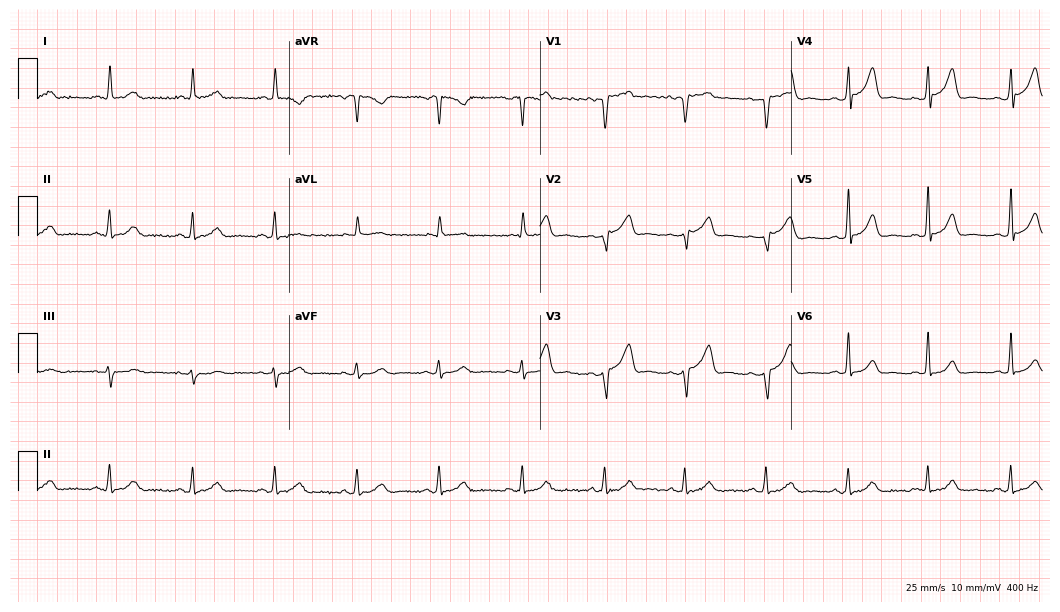
12-lead ECG from a 40-year-old female patient (10.2-second recording at 400 Hz). No first-degree AV block, right bundle branch block, left bundle branch block, sinus bradycardia, atrial fibrillation or sinus tachycardia recorded for this tracing.